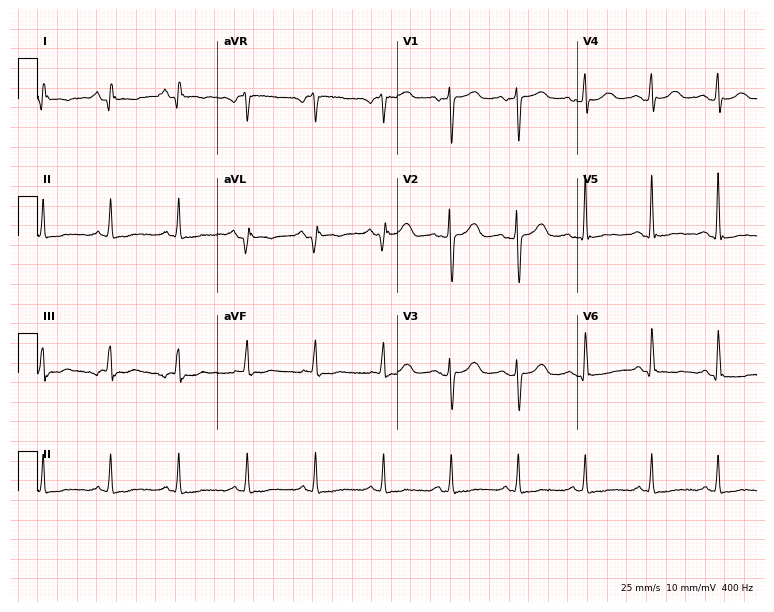
12-lead ECG from a 67-year-old female patient (7.3-second recording at 400 Hz). No first-degree AV block, right bundle branch block (RBBB), left bundle branch block (LBBB), sinus bradycardia, atrial fibrillation (AF) or sinus tachycardia recorded for this tracing.